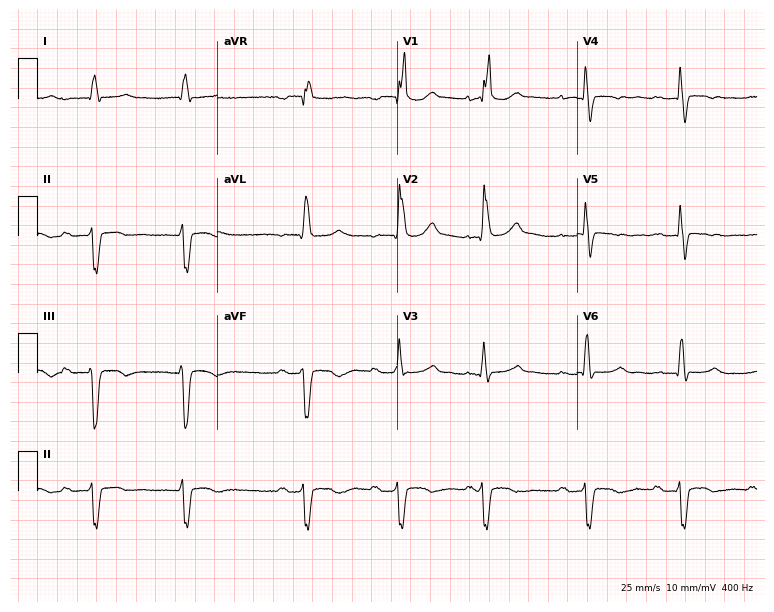
Resting 12-lead electrocardiogram (7.3-second recording at 400 Hz). Patient: an 81-year-old male. The tracing shows first-degree AV block, right bundle branch block (RBBB).